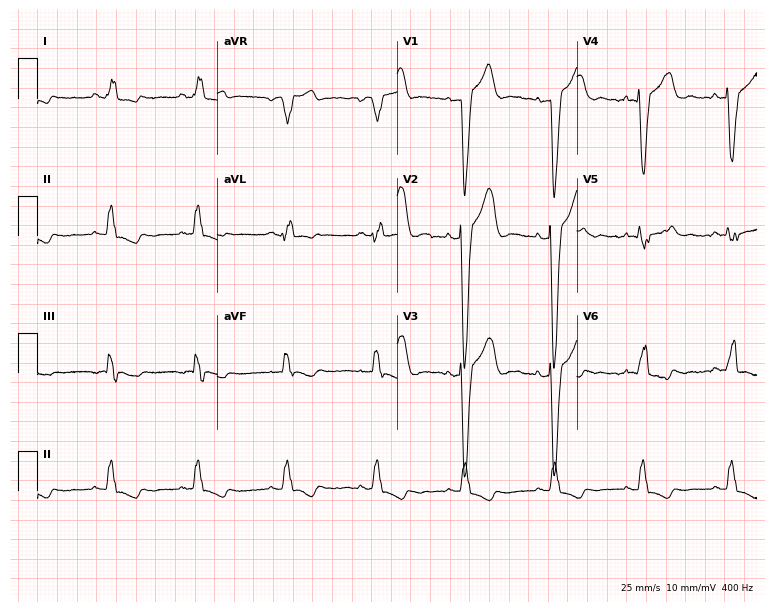
Electrocardiogram (7.3-second recording at 400 Hz), a 58-year-old man. Interpretation includes left bundle branch block.